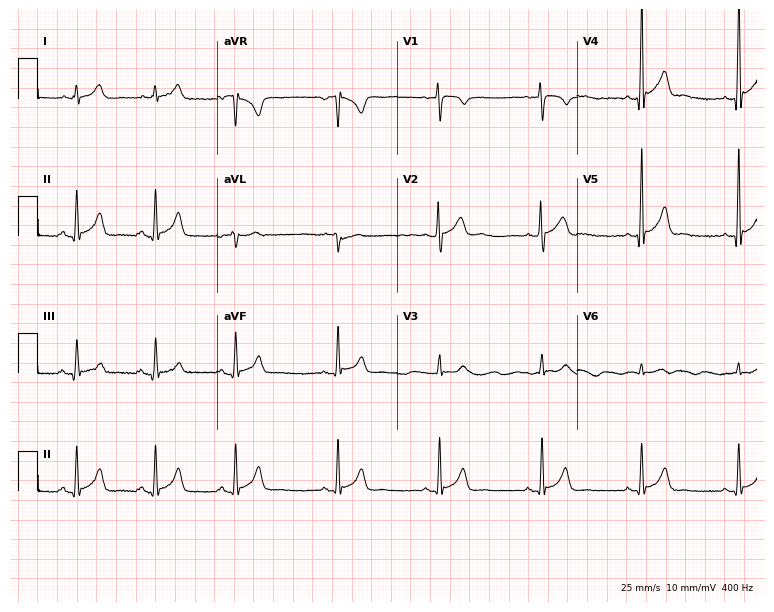
Resting 12-lead electrocardiogram. Patient: a man, 21 years old. None of these six findings is recorded: first-degree AV block, right bundle branch block (RBBB), left bundle branch block (LBBB), sinus bradycardia, atrial fibrillation (AF), sinus tachycardia.